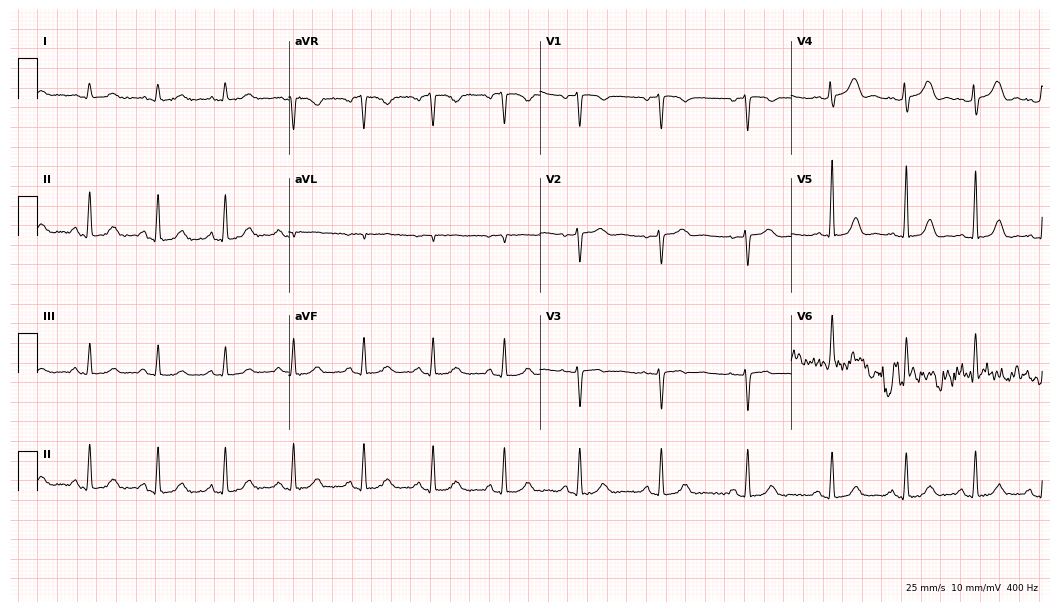
Standard 12-lead ECG recorded from a 45-year-old woman. None of these six findings is recorded: first-degree AV block, right bundle branch block, left bundle branch block, sinus bradycardia, atrial fibrillation, sinus tachycardia.